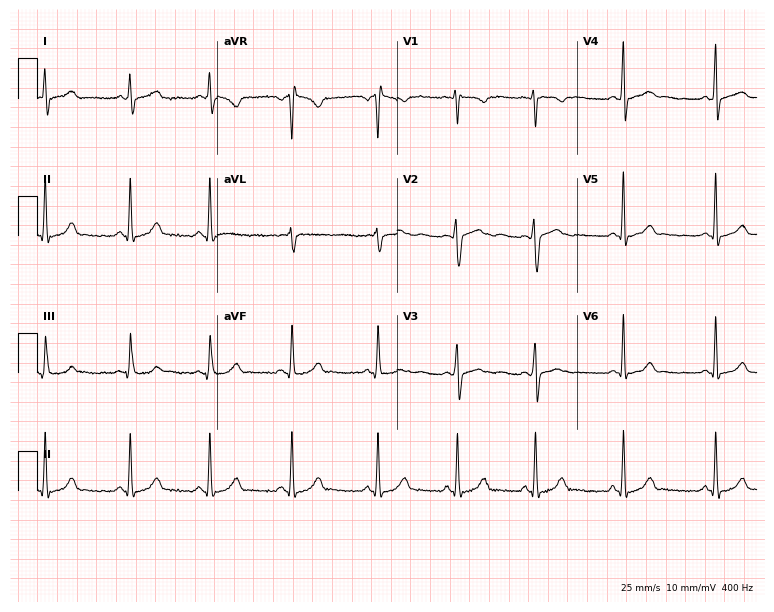
Electrocardiogram (7.3-second recording at 400 Hz), a female patient, 25 years old. Overall reading on record: normal ECG.